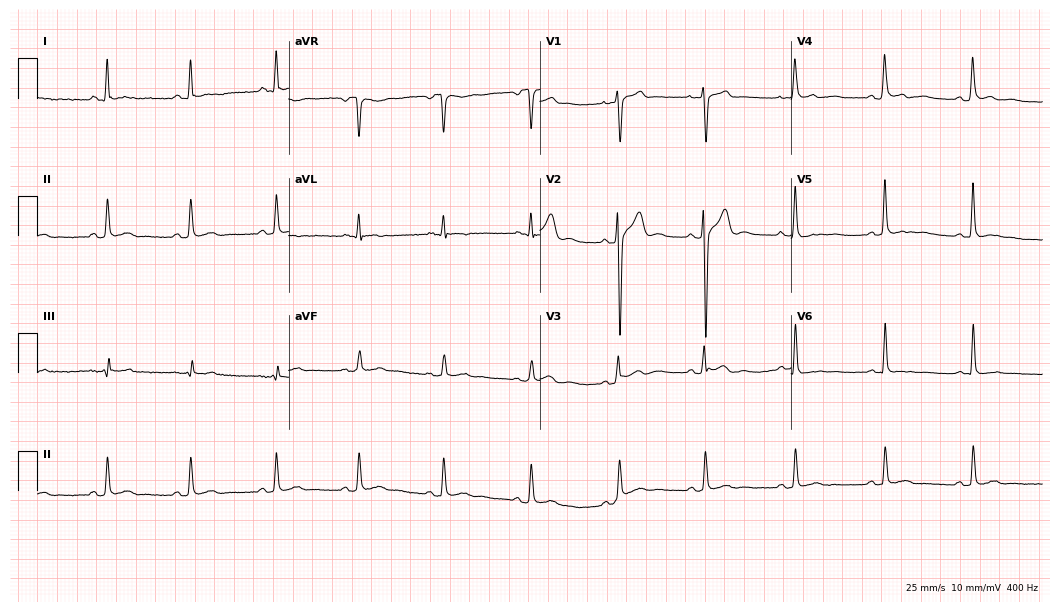
ECG — a 30-year-old man. Screened for six findings — first-degree AV block, right bundle branch block, left bundle branch block, sinus bradycardia, atrial fibrillation, sinus tachycardia — none is recorded.